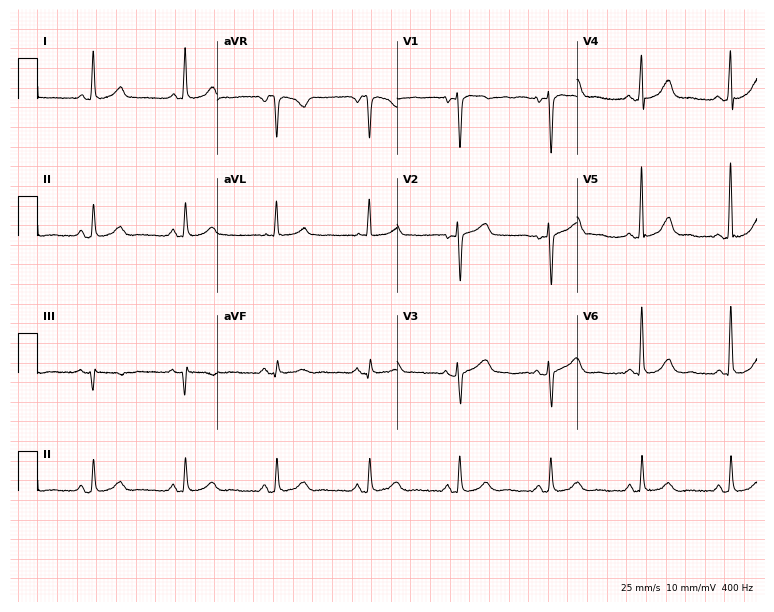
Resting 12-lead electrocardiogram. Patient: a female, 49 years old. Read as a normal ECG.